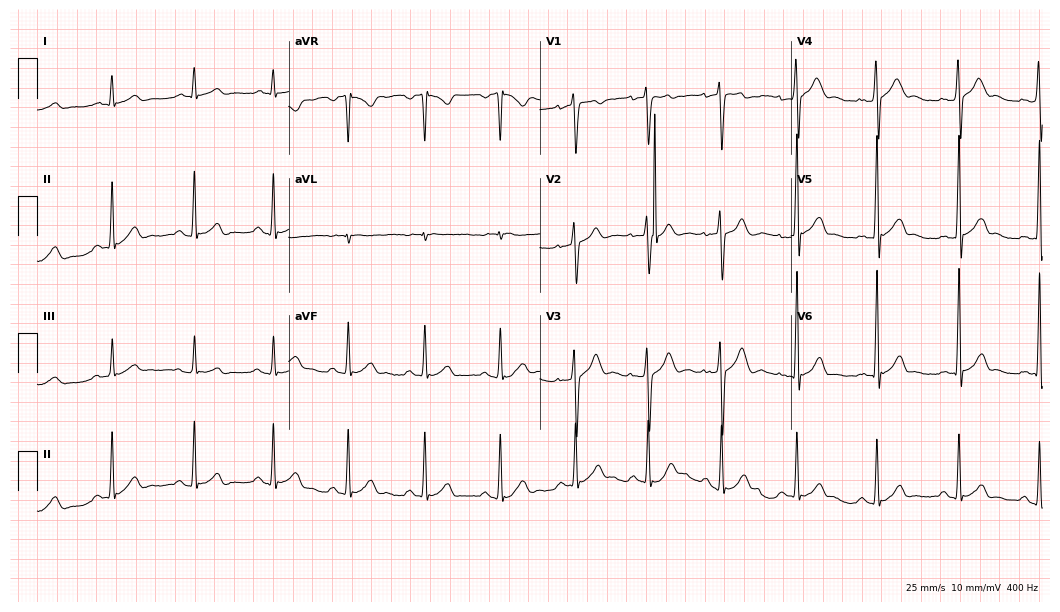
12-lead ECG from an 18-year-old male patient. Labelled as a normal ECG.